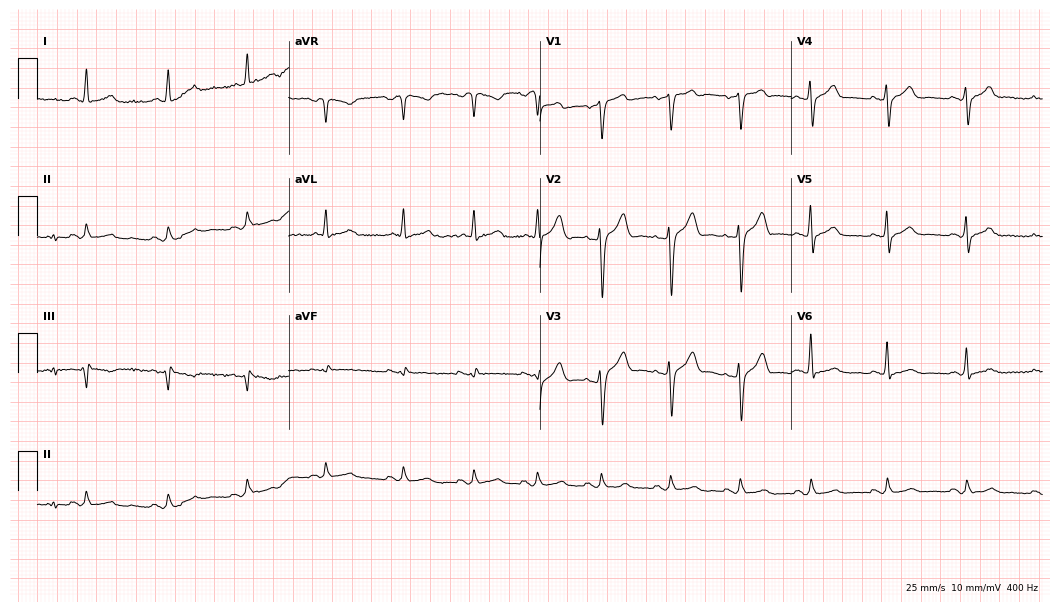
Standard 12-lead ECG recorded from a male patient, 40 years old. Read as a normal ECG.